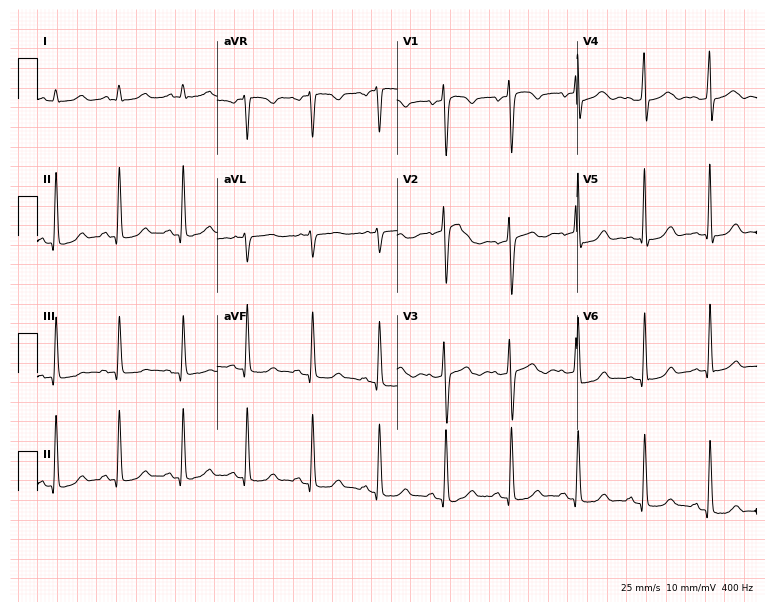
12-lead ECG from a woman, 30 years old. Screened for six findings — first-degree AV block, right bundle branch block (RBBB), left bundle branch block (LBBB), sinus bradycardia, atrial fibrillation (AF), sinus tachycardia — none is recorded.